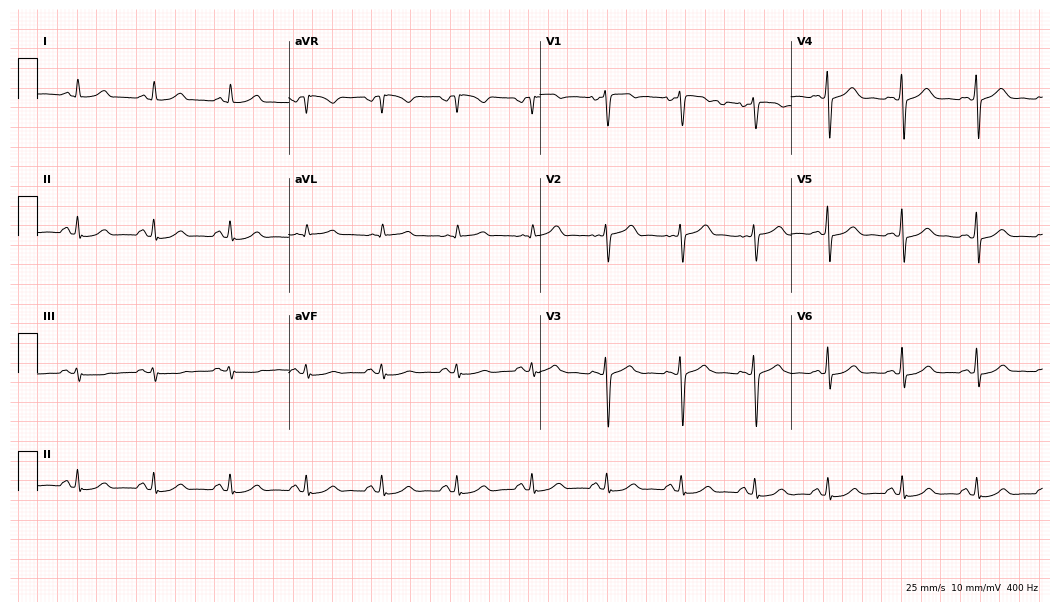
Electrocardiogram, a 50-year-old woman. Overall reading on record: normal ECG.